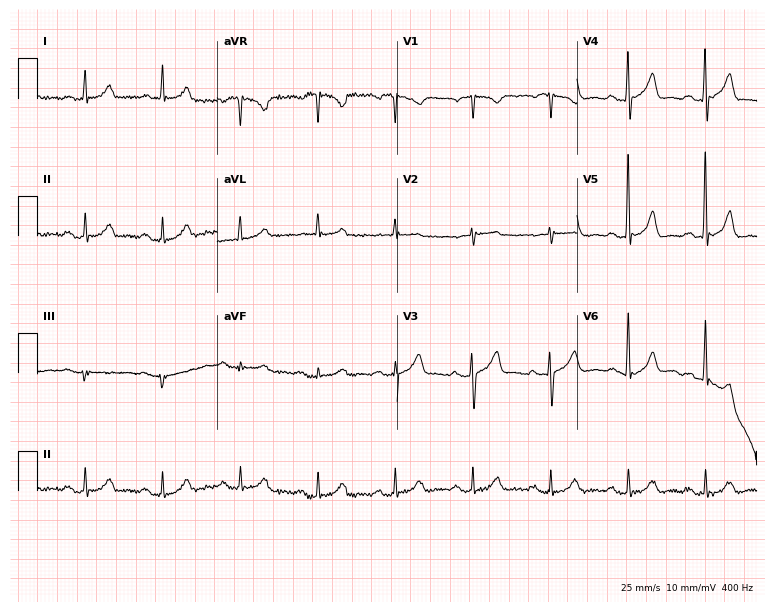
ECG — a 74-year-old man. Labelled as a normal ECG.